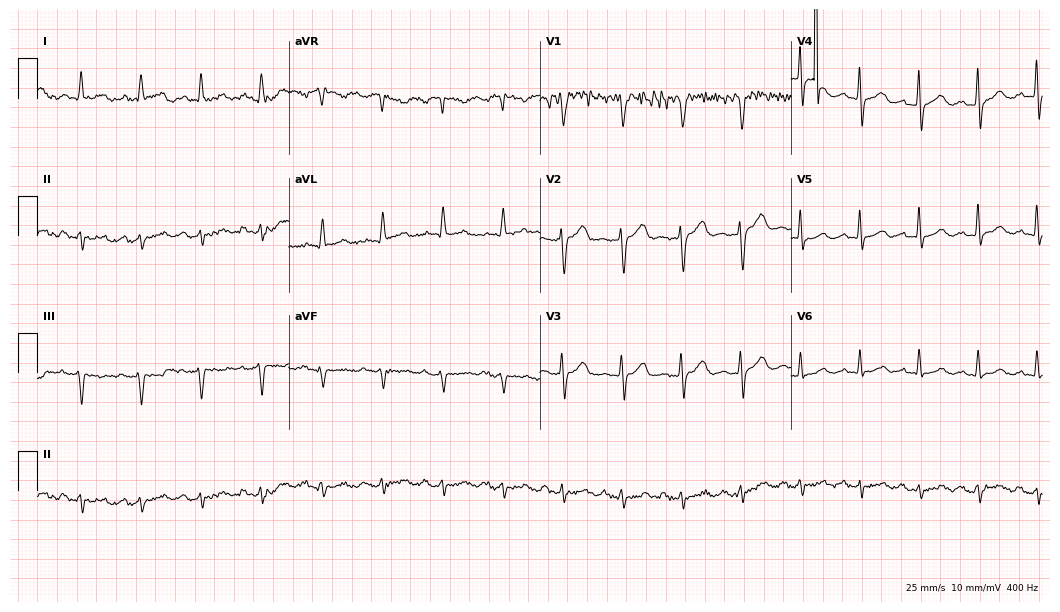
ECG — a man, 61 years old. Screened for six findings — first-degree AV block, right bundle branch block, left bundle branch block, sinus bradycardia, atrial fibrillation, sinus tachycardia — none is recorded.